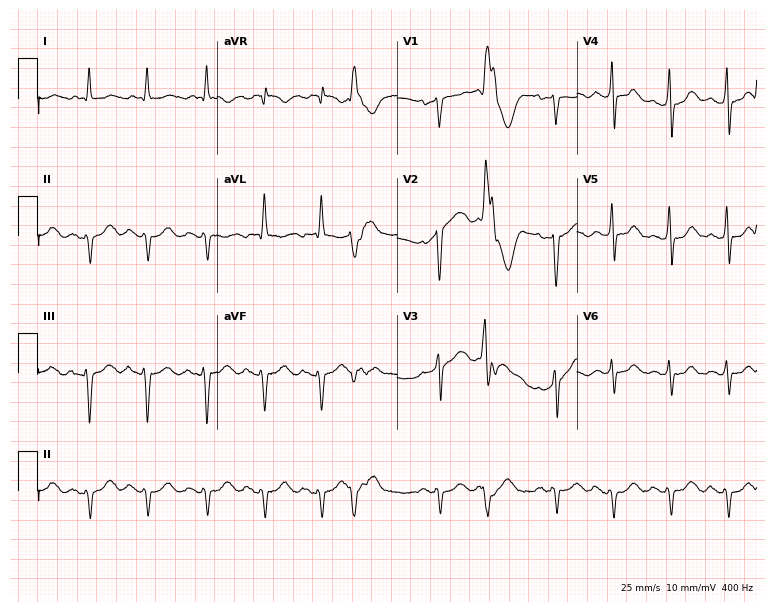
ECG (7.3-second recording at 400 Hz) — a male, 68 years old. Screened for six findings — first-degree AV block, right bundle branch block (RBBB), left bundle branch block (LBBB), sinus bradycardia, atrial fibrillation (AF), sinus tachycardia — none is recorded.